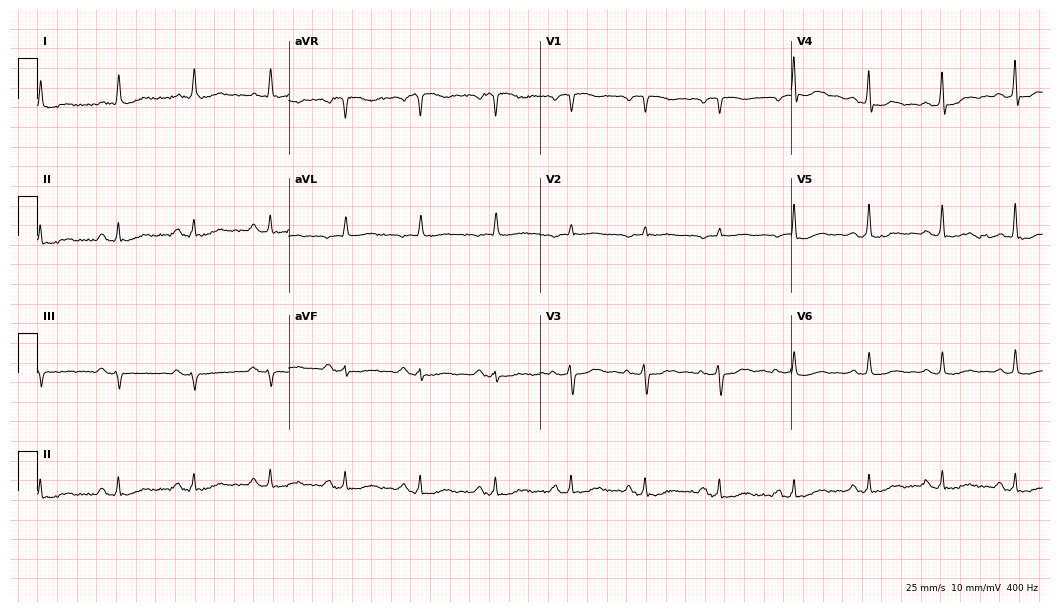
12-lead ECG (10.2-second recording at 400 Hz) from a female, 72 years old. Screened for six findings — first-degree AV block, right bundle branch block, left bundle branch block, sinus bradycardia, atrial fibrillation, sinus tachycardia — none is recorded. Findings outside these six are not listed.